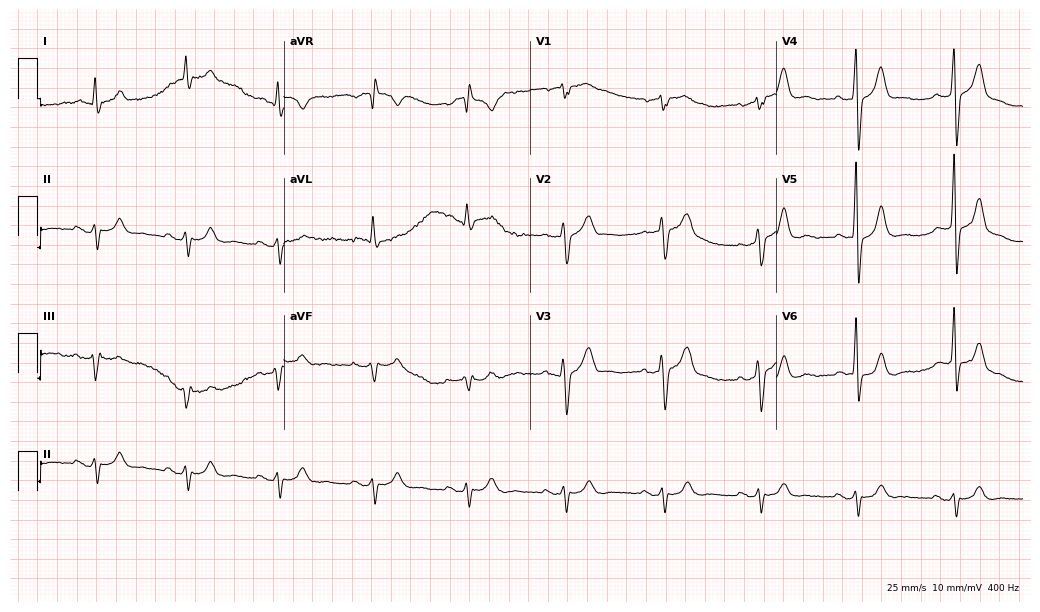
ECG (10-second recording at 400 Hz) — a 73-year-old male patient. Screened for six findings — first-degree AV block, right bundle branch block, left bundle branch block, sinus bradycardia, atrial fibrillation, sinus tachycardia — none is recorded.